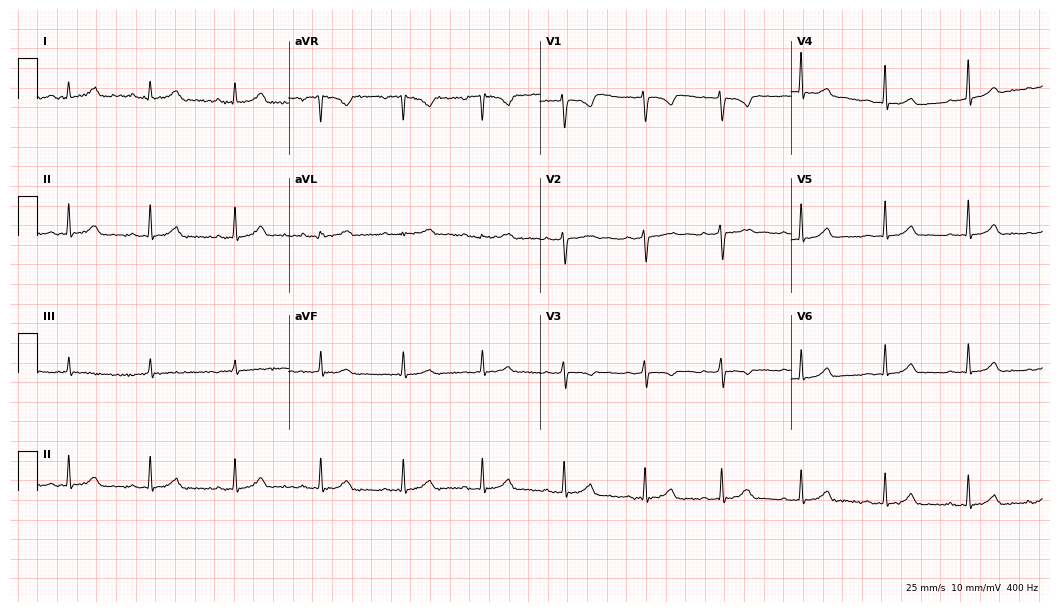
Resting 12-lead electrocardiogram. Patient: a female, 27 years old. Read as a normal ECG.